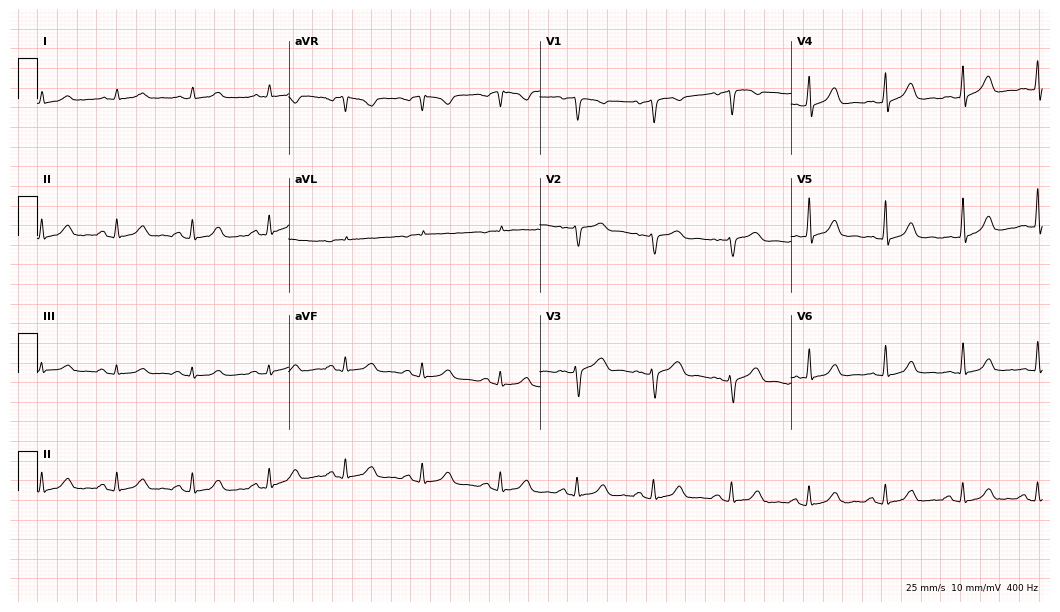
Standard 12-lead ECG recorded from a 47-year-old woman. Read as a normal ECG.